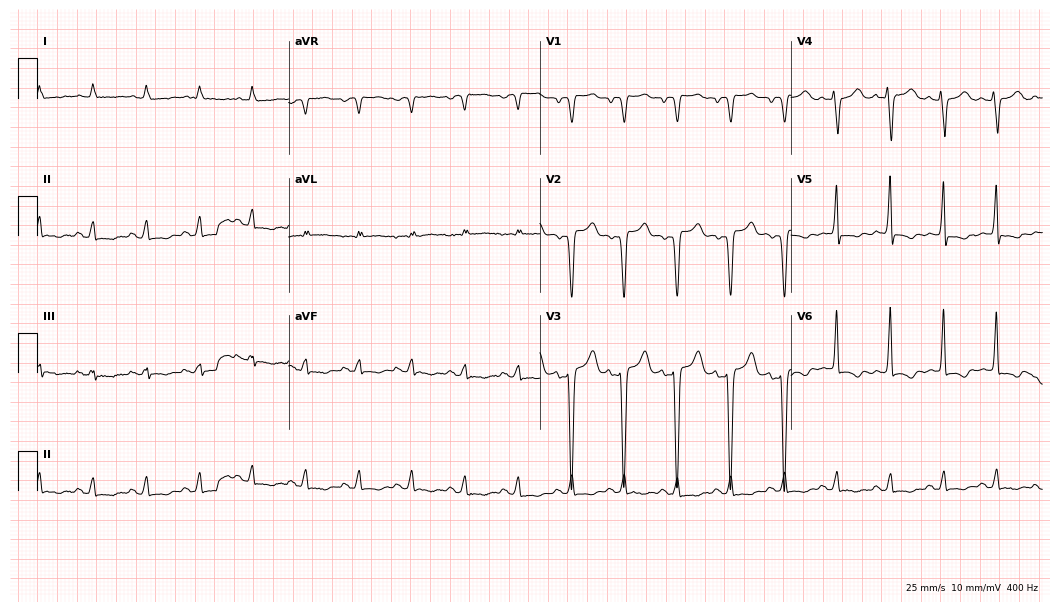
12-lead ECG (10.2-second recording at 400 Hz) from a 72-year-old female. Findings include sinus tachycardia (a sinus rate of 100 beats per minute or more).